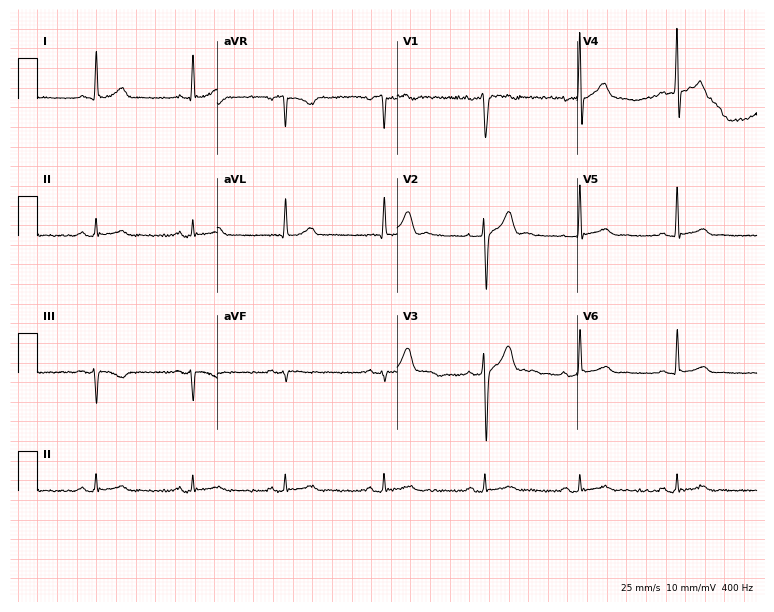
Electrocardiogram, a 31-year-old male. Of the six screened findings (first-degree AV block, right bundle branch block, left bundle branch block, sinus bradycardia, atrial fibrillation, sinus tachycardia), none is recorded. Findings outside these six are not listed.